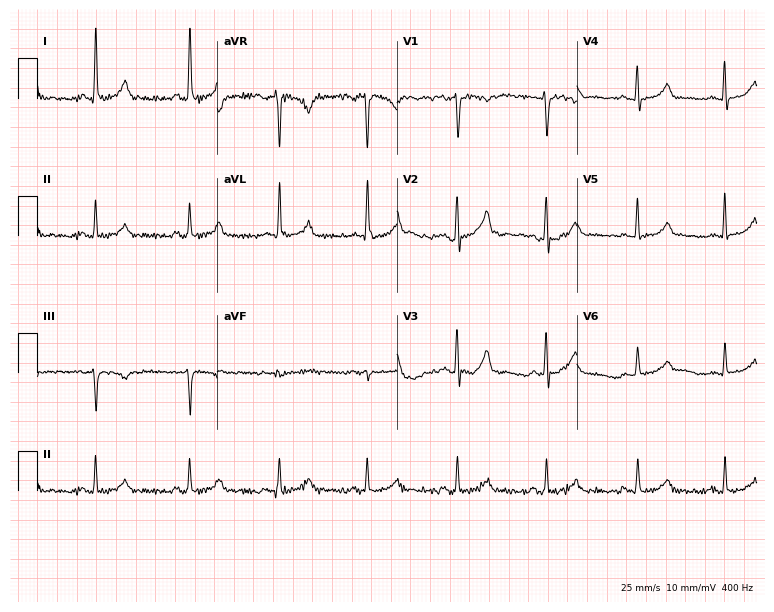
ECG (7.3-second recording at 400 Hz) — a woman, 39 years old. Screened for six findings — first-degree AV block, right bundle branch block, left bundle branch block, sinus bradycardia, atrial fibrillation, sinus tachycardia — none is recorded. Only these six findings were labelled.